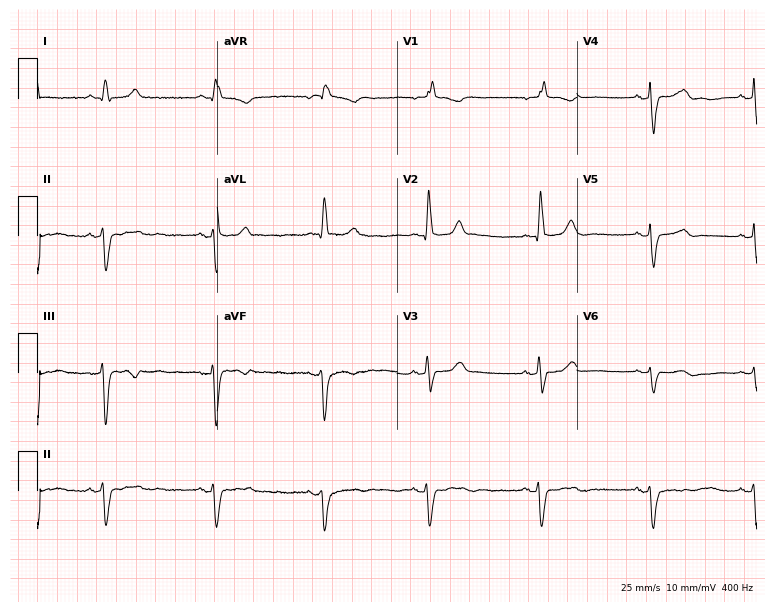
ECG — an 84-year-old female patient. Findings include right bundle branch block (RBBB).